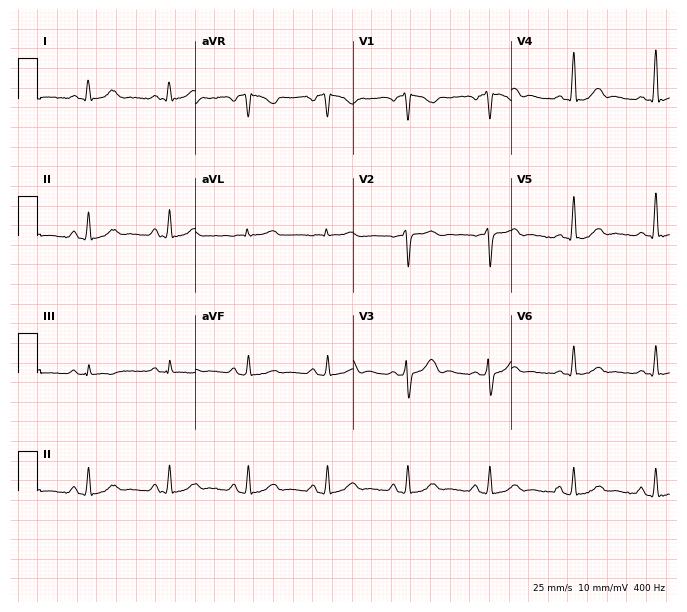
Resting 12-lead electrocardiogram (6.4-second recording at 400 Hz). Patient: a male, 46 years old. None of these six findings is recorded: first-degree AV block, right bundle branch block (RBBB), left bundle branch block (LBBB), sinus bradycardia, atrial fibrillation (AF), sinus tachycardia.